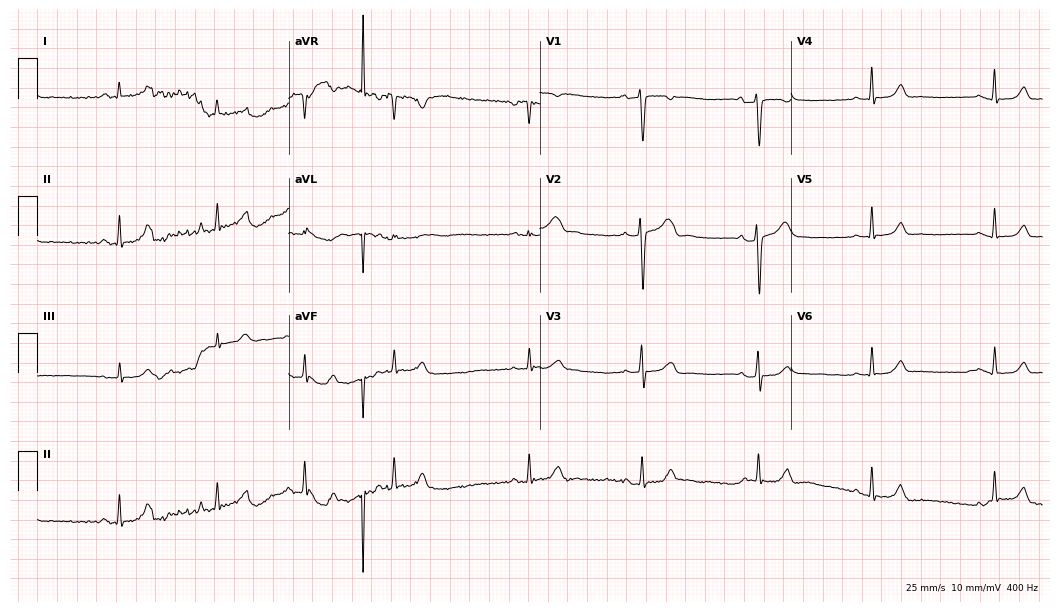
Standard 12-lead ECG recorded from a 23-year-old female. Read as a normal ECG.